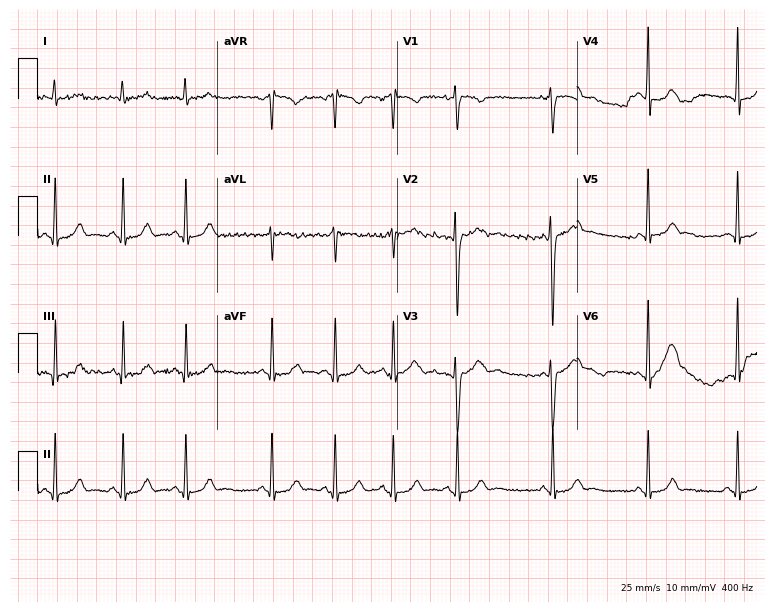
Electrocardiogram (7.3-second recording at 400 Hz), a 17-year-old female patient. Of the six screened findings (first-degree AV block, right bundle branch block (RBBB), left bundle branch block (LBBB), sinus bradycardia, atrial fibrillation (AF), sinus tachycardia), none is recorded.